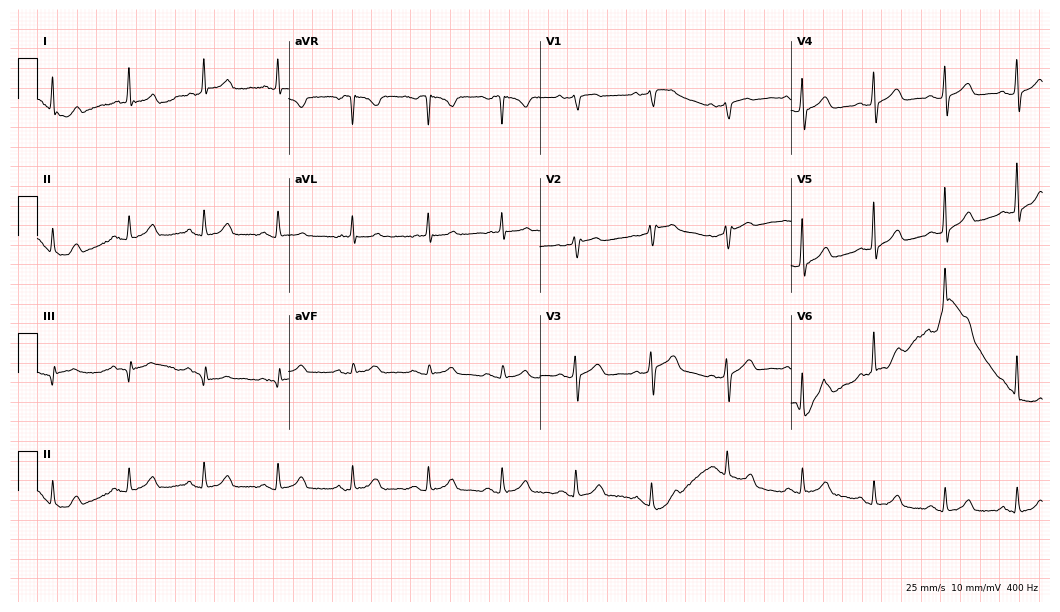
Resting 12-lead electrocardiogram (10.2-second recording at 400 Hz). Patient: a 56-year-old female. None of these six findings is recorded: first-degree AV block, right bundle branch block, left bundle branch block, sinus bradycardia, atrial fibrillation, sinus tachycardia. Findings outside these six are not listed.